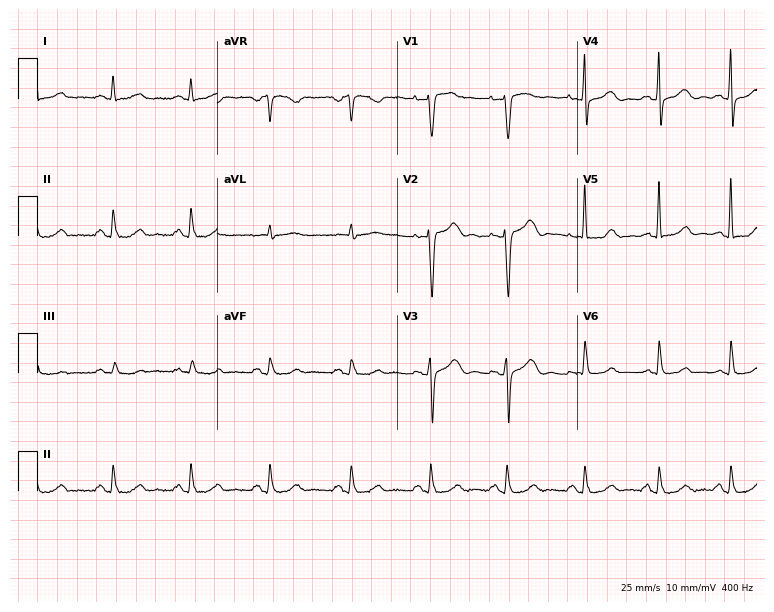
Resting 12-lead electrocardiogram (7.3-second recording at 400 Hz). Patient: a 55-year-old female. None of these six findings is recorded: first-degree AV block, right bundle branch block, left bundle branch block, sinus bradycardia, atrial fibrillation, sinus tachycardia.